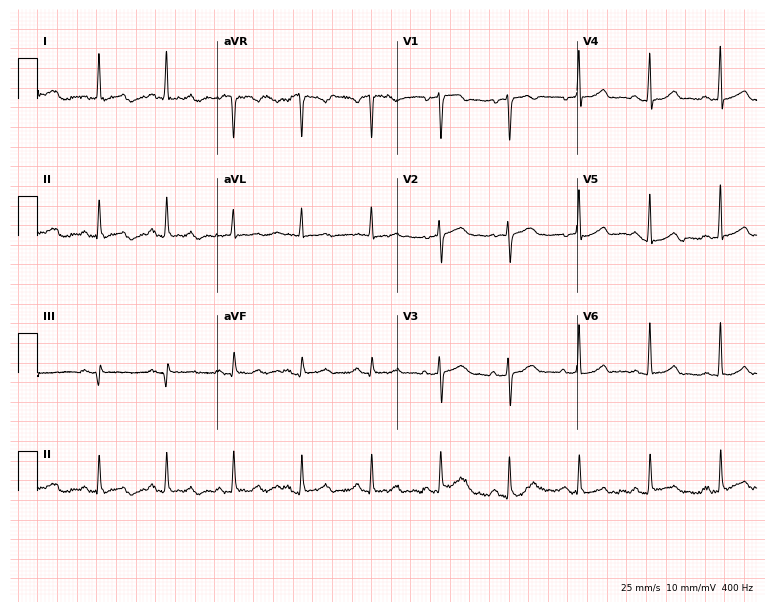
Resting 12-lead electrocardiogram (7.3-second recording at 400 Hz). Patient: a female, 56 years old. None of these six findings is recorded: first-degree AV block, right bundle branch block, left bundle branch block, sinus bradycardia, atrial fibrillation, sinus tachycardia.